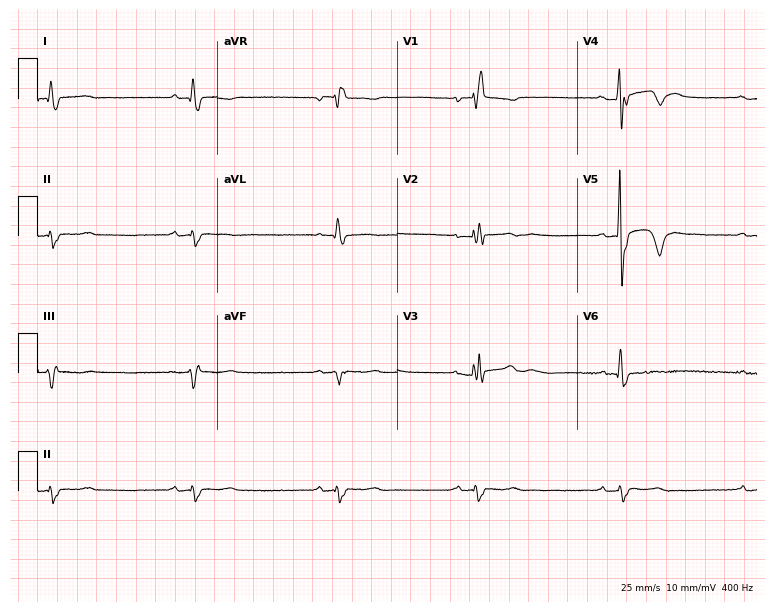
Standard 12-lead ECG recorded from a woman, 62 years old (7.3-second recording at 400 Hz). The tracing shows right bundle branch block (RBBB), sinus bradycardia (a sinus rate of 50 beats per minute or less).